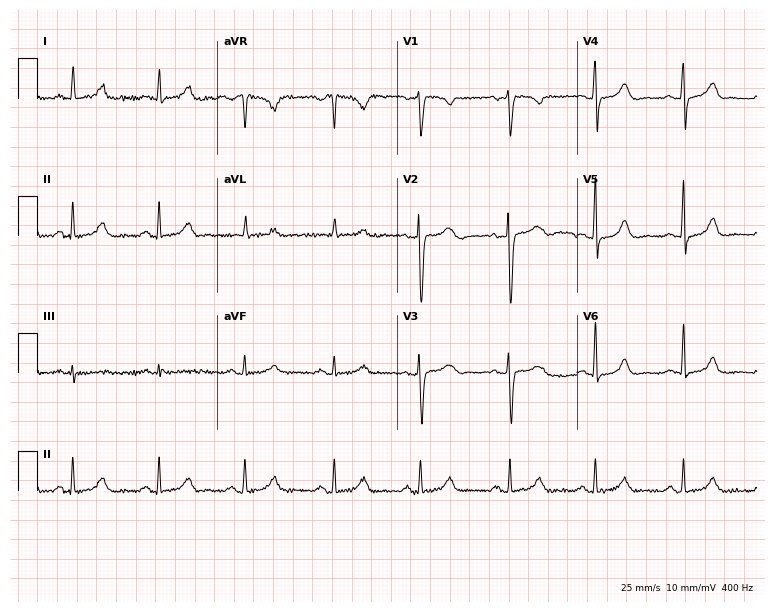
12-lead ECG from a 52-year-old woman. Labelled as a normal ECG.